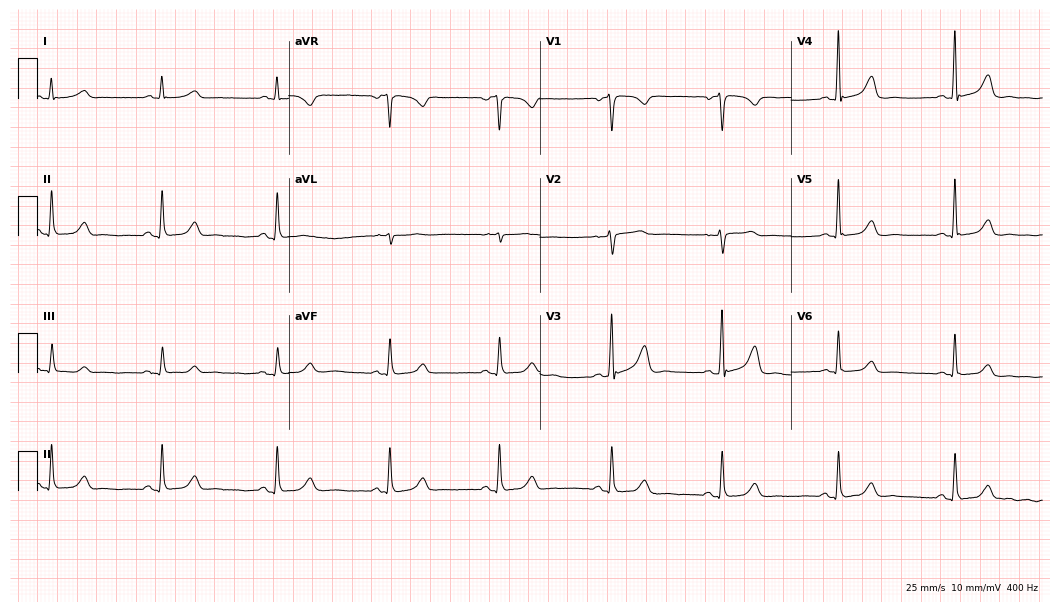
Standard 12-lead ECG recorded from a 64-year-old female patient. None of these six findings is recorded: first-degree AV block, right bundle branch block (RBBB), left bundle branch block (LBBB), sinus bradycardia, atrial fibrillation (AF), sinus tachycardia.